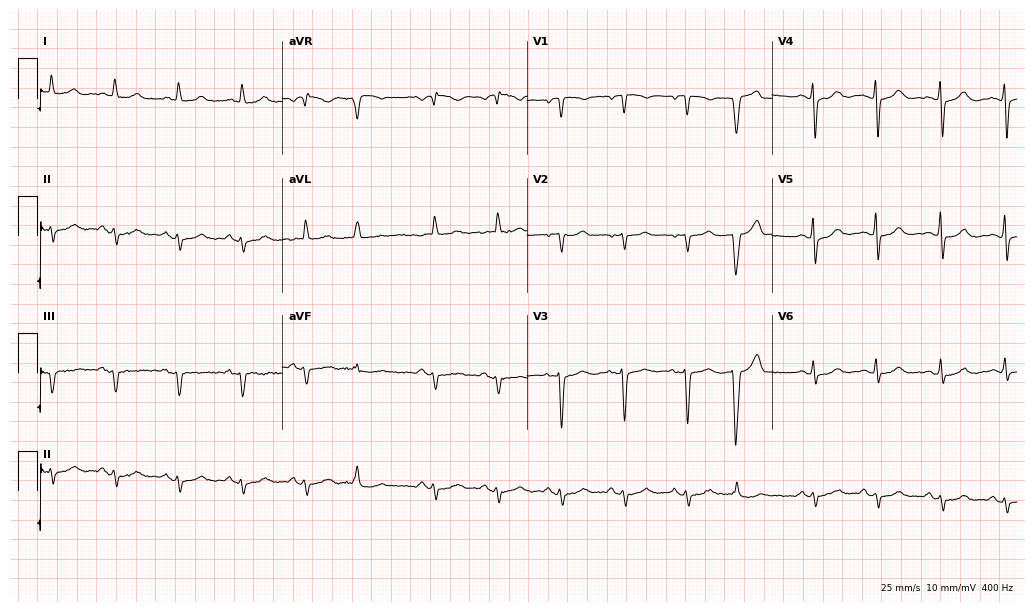
ECG (10-second recording at 400 Hz) — a female patient, 74 years old. Screened for six findings — first-degree AV block, right bundle branch block (RBBB), left bundle branch block (LBBB), sinus bradycardia, atrial fibrillation (AF), sinus tachycardia — none is recorded. Only these six findings were labelled.